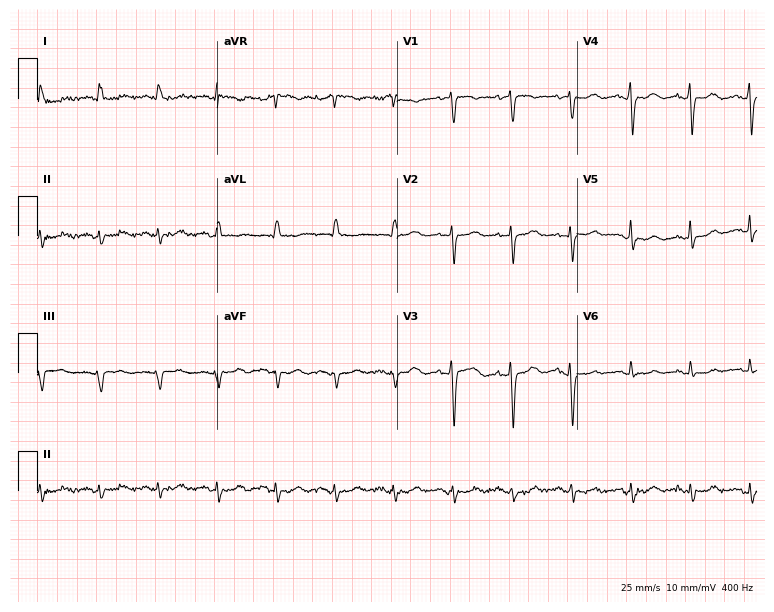
Resting 12-lead electrocardiogram. Patient: a 68-year-old woman. None of these six findings is recorded: first-degree AV block, right bundle branch block, left bundle branch block, sinus bradycardia, atrial fibrillation, sinus tachycardia. Other findings, if any, are not listed.